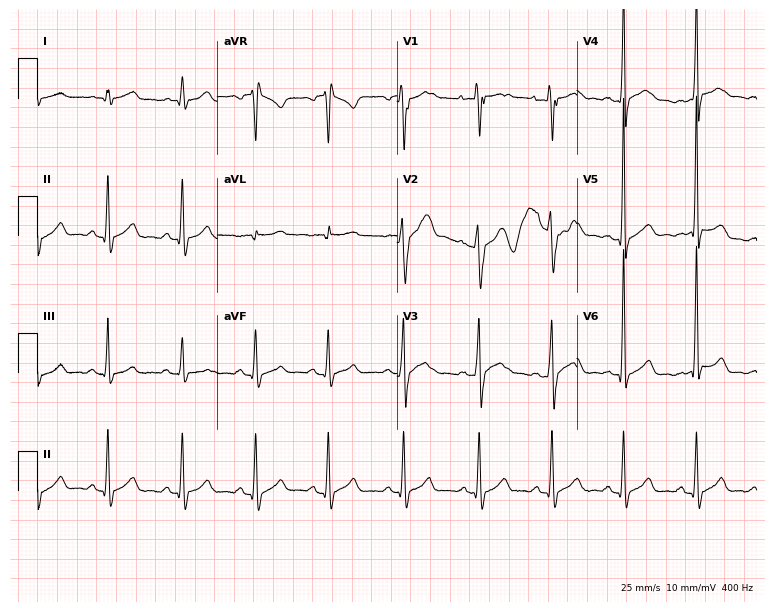
Resting 12-lead electrocardiogram. Patient: a male, 18 years old. None of these six findings is recorded: first-degree AV block, right bundle branch block, left bundle branch block, sinus bradycardia, atrial fibrillation, sinus tachycardia. Findings outside these six are not listed.